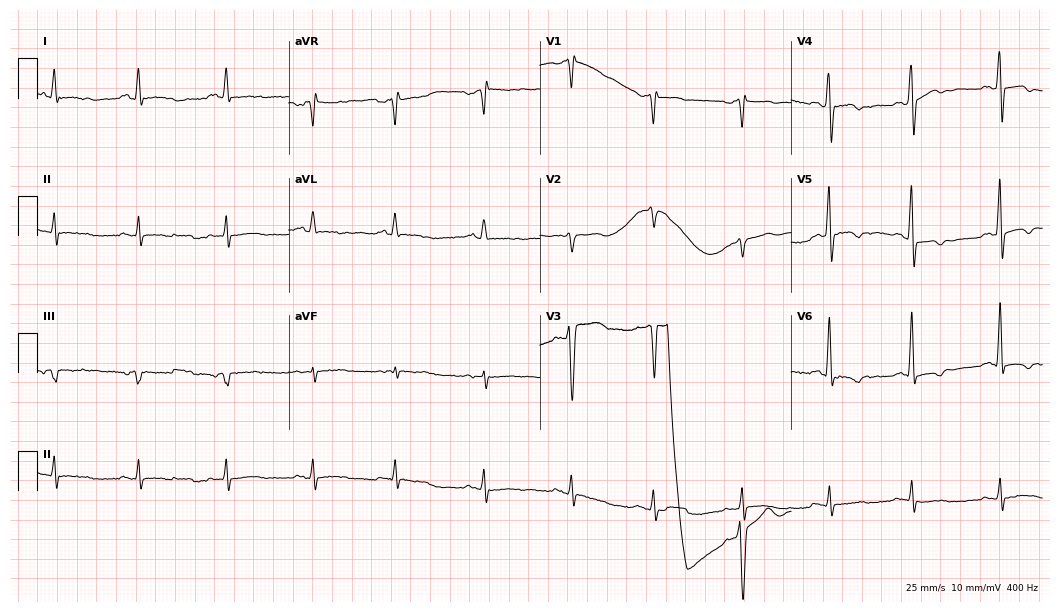
12-lead ECG from a 56-year-old man. Screened for six findings — first-degree AV block, right bundle branch block (RBBB), left bundle branch block (LBBB), sinus bradycardia, atrial fibrillation (AF), sinus tachycardia — none is recorded. Findings outside these six are not listed.